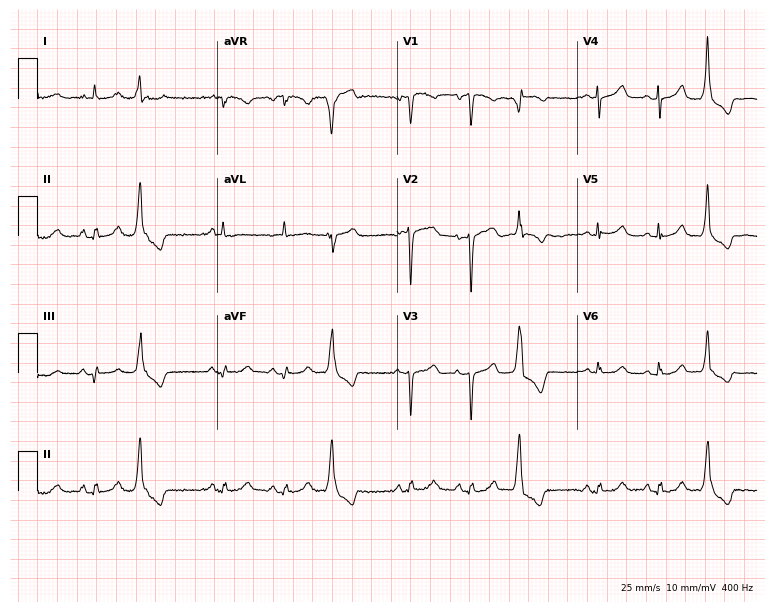
12-lead ECG from an 81-year-old female patient (7.3-second recording at 400 Hz). No first-degree AV block, right bundle branch block (RBBB), left bundle branch block (LBBB), sinus bradycardia, atrial fibrillation (AF) or sinus tachycardia recorded for this tracing. Only these six findings were labelled.